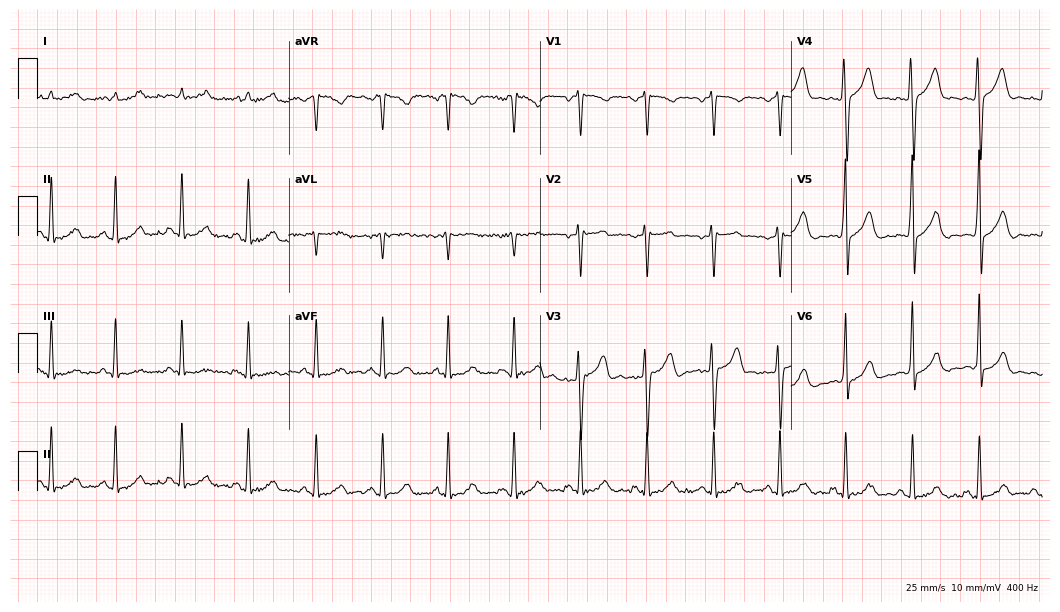
12-lead ECG from a man, 28 years old (10.2-second recording at 400 Hz). No first-degree AV block, right bundle branch block (RBBB), left bundle branch block (LBBB), sinus bradycardia, atrial fibrillation (AF) or sinus tachycardia recorded for this tracing.